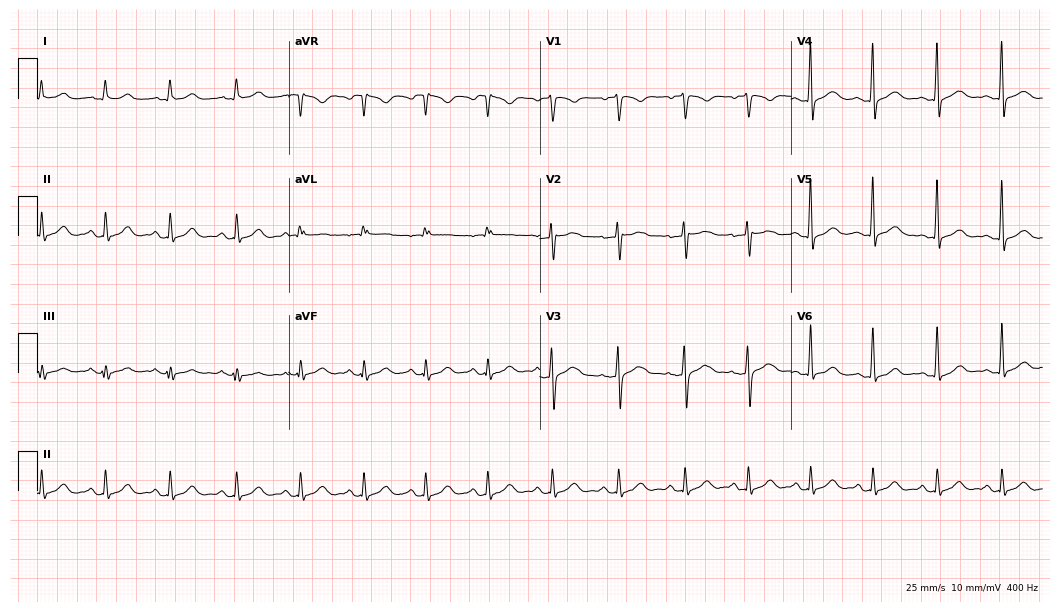
ECG (10.2-second recording at 400 Hz) — a man, 33 years old. Screened for six findings — first-degree AV block, right bundle branch block, left bundle branch block, sinus bradycardia, atrial fibrillation, sinus tachycardia — none is recorded.